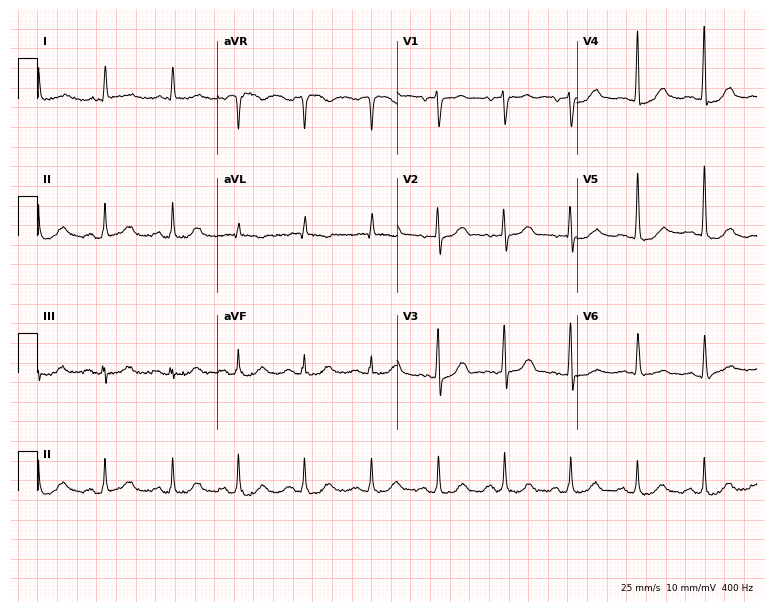
Standard 12-lead ECG recorded from a man, 63 years old (7.3-second recording at 400 Hz). None of these six findings is recorded: first-degree AV block, right bundle branch block, left bundle branch block, sinus bradycardia, atrial fibrillation, sinus tachycardia. Other findings, if any, are not listed.